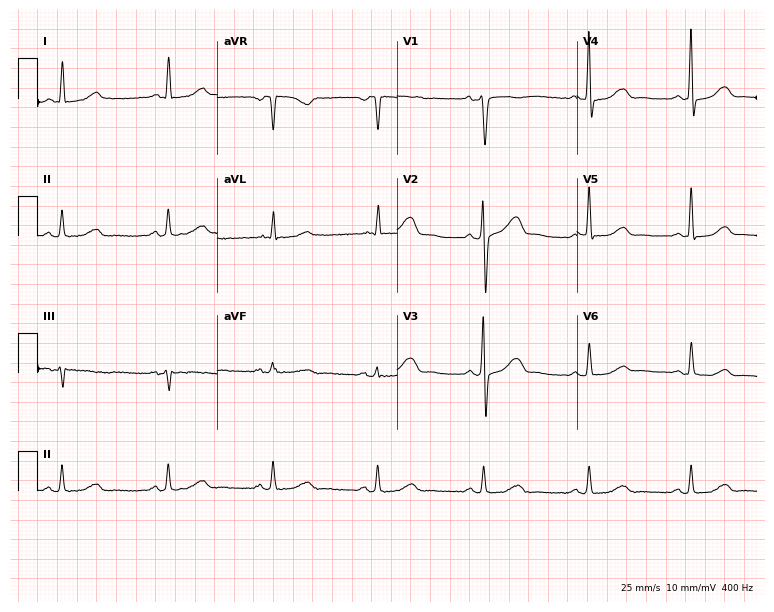
12-lead ECG from a female patient, 71 years old. Screened for six findings — first-degree AV block, right bundle branch block, left bundle branch block, sinus bradycardia, atrial fibrillation, sinus tachycardia — none is recorded.